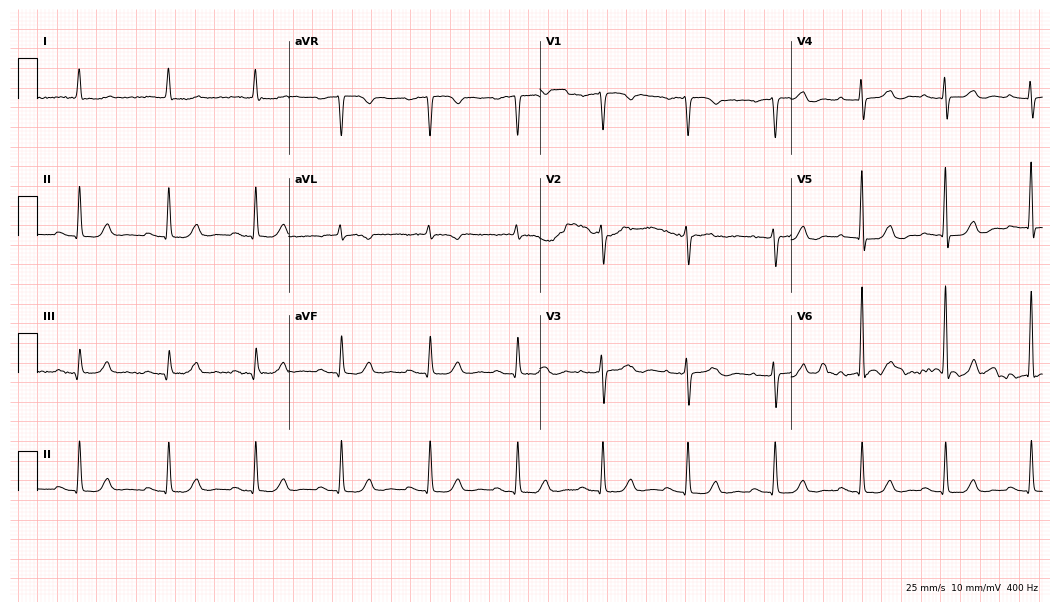
Resting 12-lead electrocardiogram. Patient: an 80-year-old woman. None of these six findings is recorded: first-degree AV block, right bundle branch block, left bundle branch block, sinus bradycardia, atrial fibrillation, sinus tachycardia. Other findings, if any, are not listed.